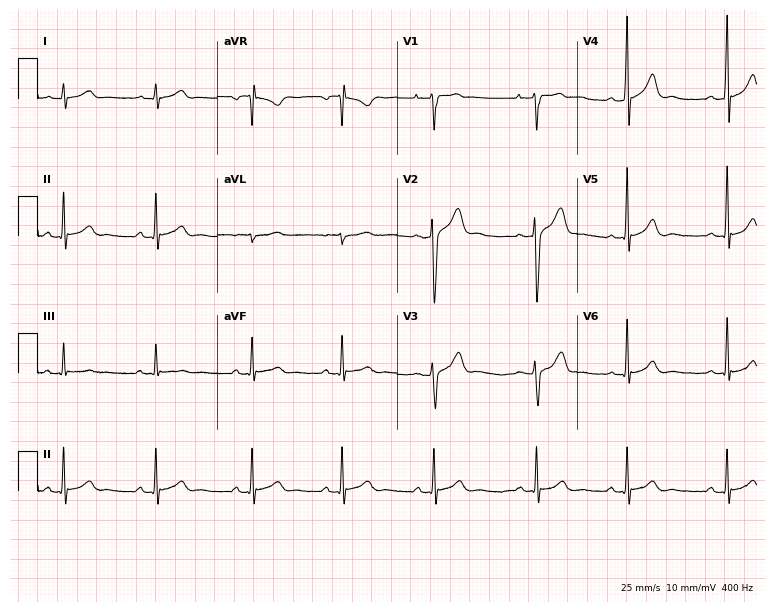
12-lead ECG (7.3-second recording at 400 Hz) from a male patient, 21 years old. Screened for six findings — first-degree AV block, right bundle branch block (RBBB), left bundle branch block (LBBB), sinus bradycardia, atrial fibrillation (AF), sinus tachycardia — none is recorded.